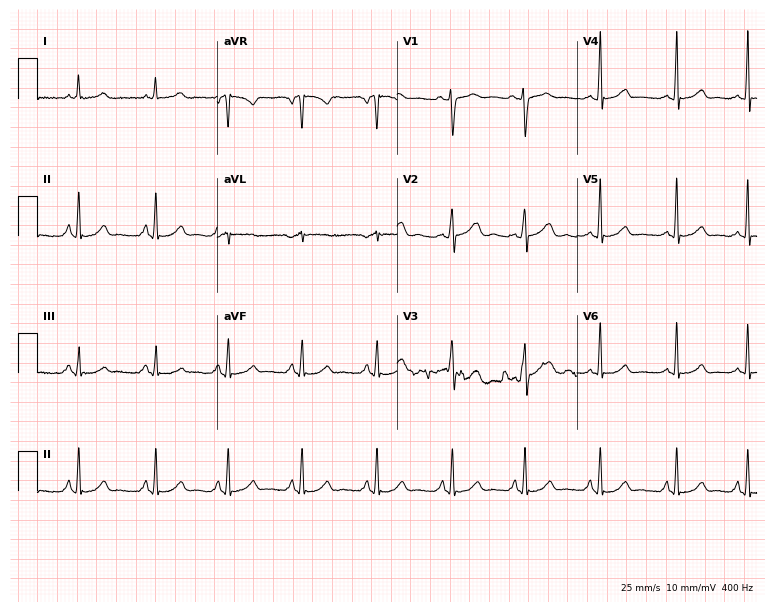
12-lead ECG from a 31-year-old woman (7.3-second recording at 400 Hz). No first-degree AV block, right bundle branch block, left bundle branch block, sinus bradycardia, atrial fibrillation or sinus tachycardia recorded for this tracing. Only these six findings were labelled.